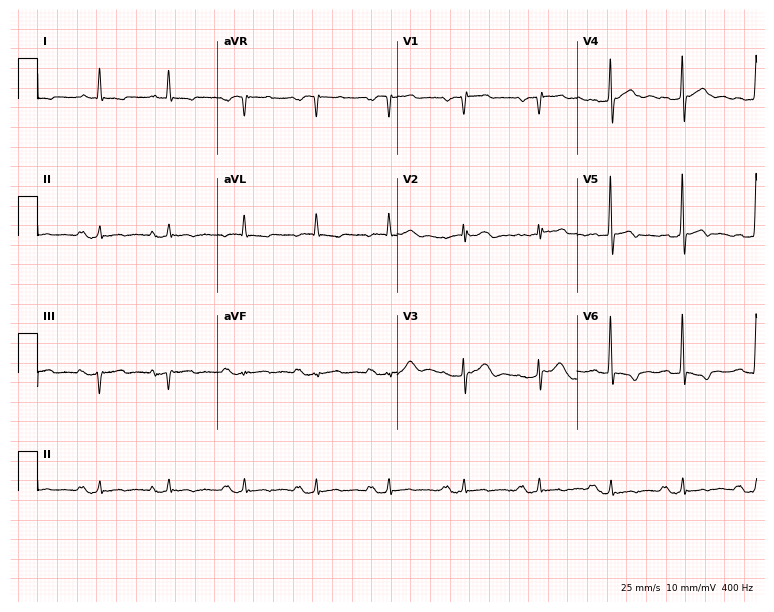
Standard 12-lead ECG recorded from a 77-year-old man. None of these six findings is recorded: first-degree AV block, right bundle branch block, left bundle branch block, sinus bradycardia, atrial fibrillation, sinus tachycardia.